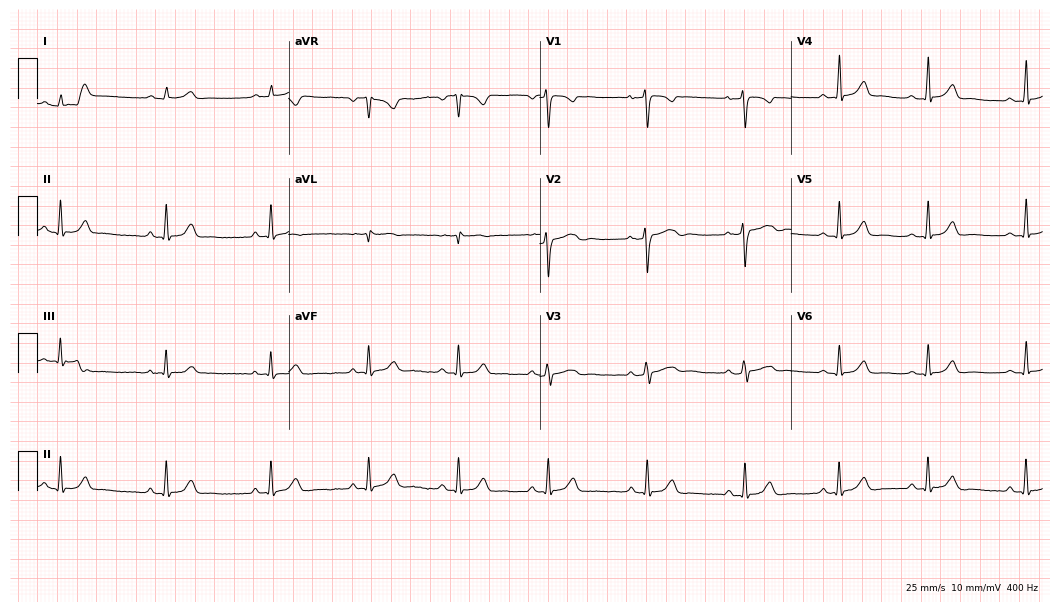
Standard 12-lead ECG recorded from a female, 23 years old. Read as a normal ECG.